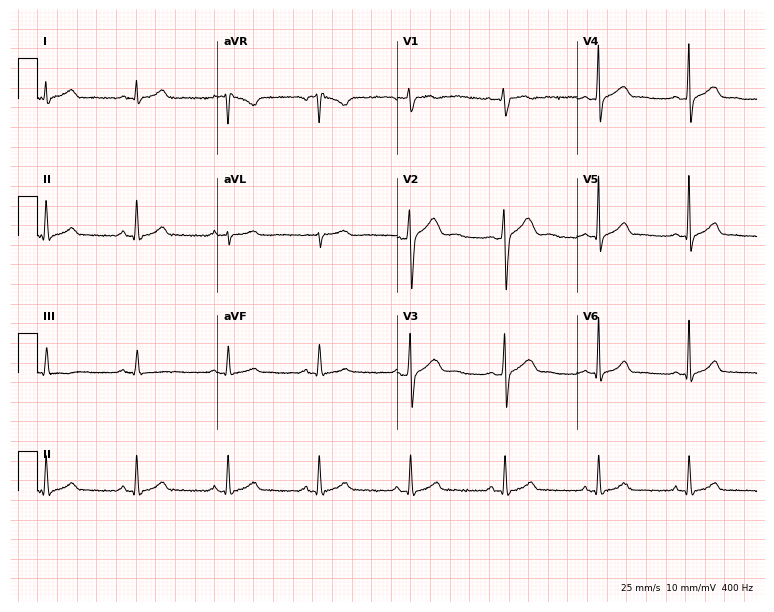
Electrocardiogram, a male patient, 33 years old. Overall reading on record: normal ECG.